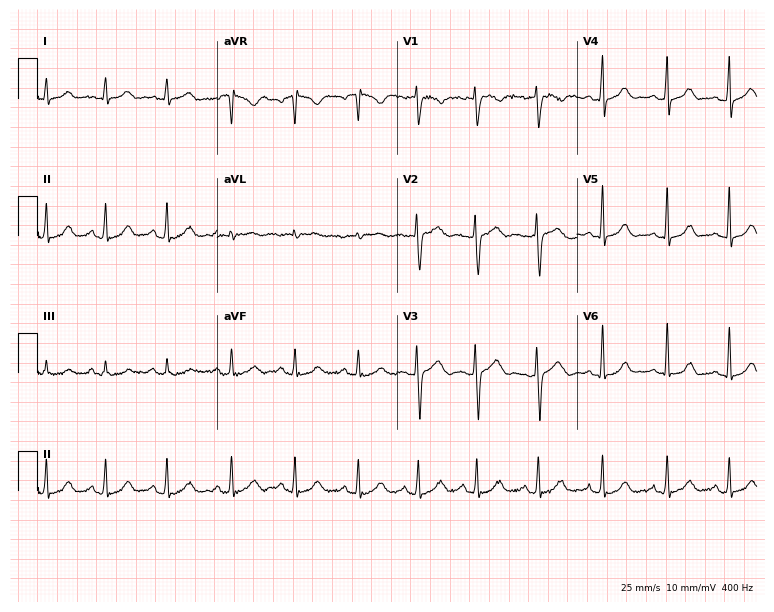
12-lead ECG from a 32-year-old female. Recorded interpretation: within normal limits.